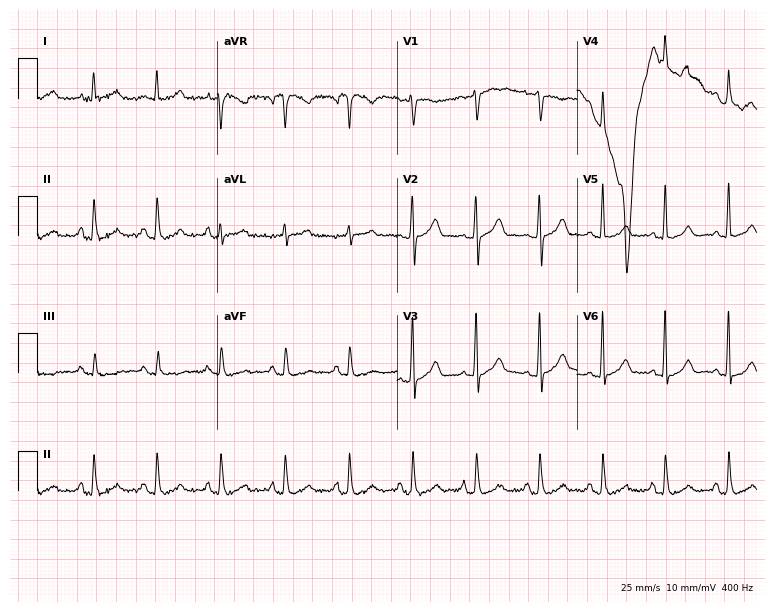
12-lead ECG (7.3-second recording at 400 Hz) from a 41-year-old man. Screened for six findings — first-degree AV block, right bundle branch block, left bundle branch block, sinus bradycardia, atrial fibrillation, sinus tachycardia — none is recorded. Only these six findings were labelled.